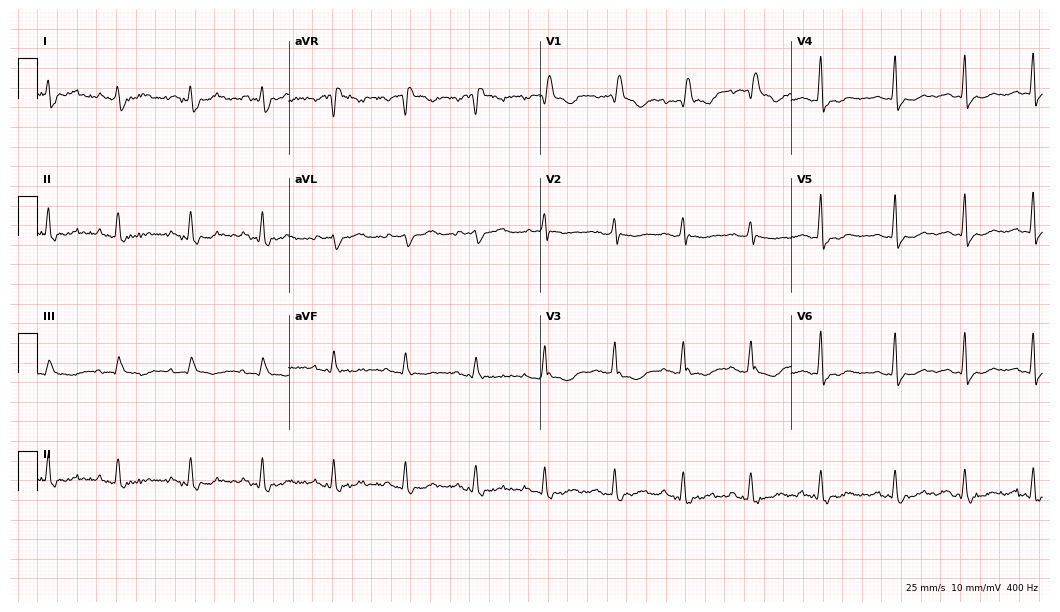
12-lead ECG from a male, 74 years old. Shows right bundle branch block (RBBB).